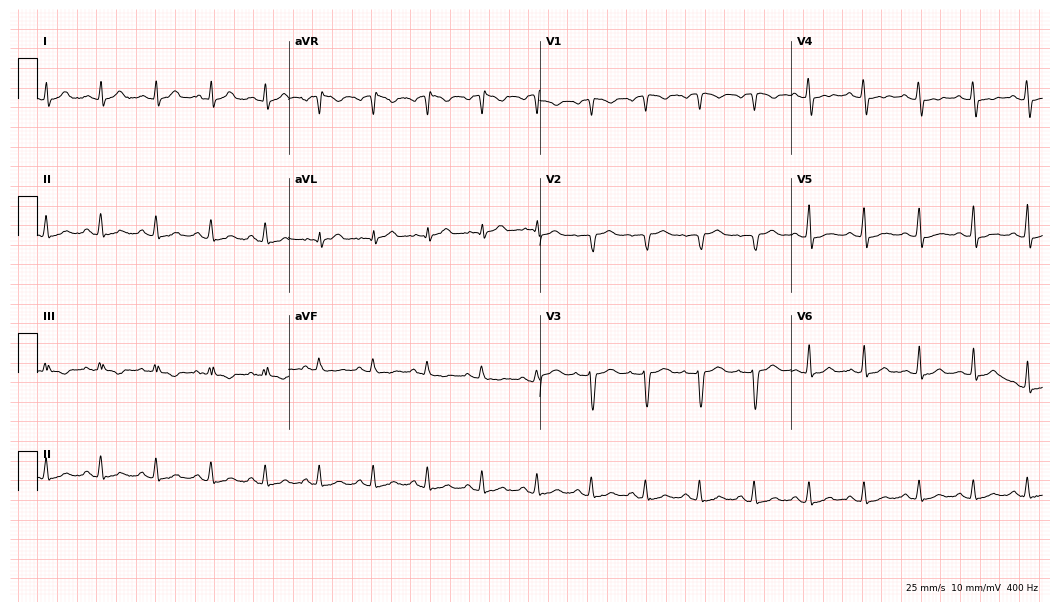
Electrocardiogram (10.2-second recording at 400 Hz), a 23-year-old female. Of the six screened findings (first-degree AV block, right bundle branch block, left bundle branch block, sinus bradycardia, atrial fibrillation, sinus tachycardia), none is recorded.